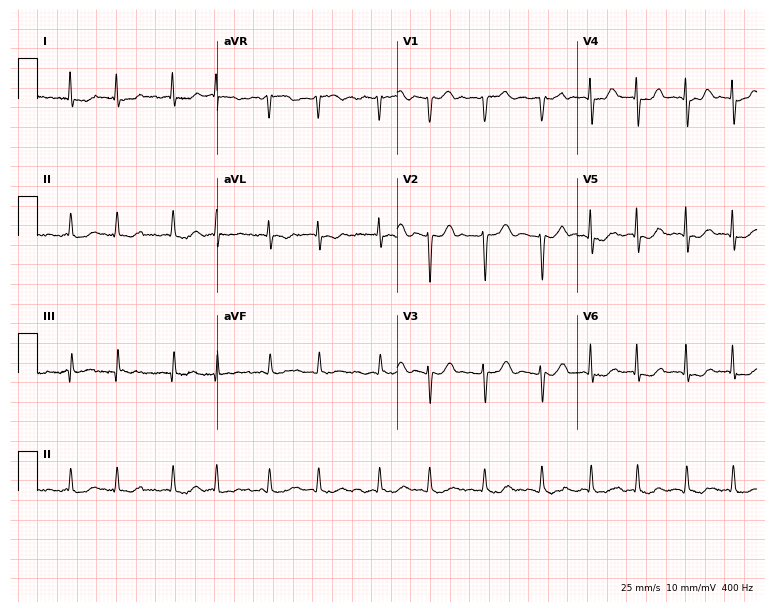
ECG (7.3-second recording at 400 Hz) — a female, 77 years old. Findings include atrial fibrillation.